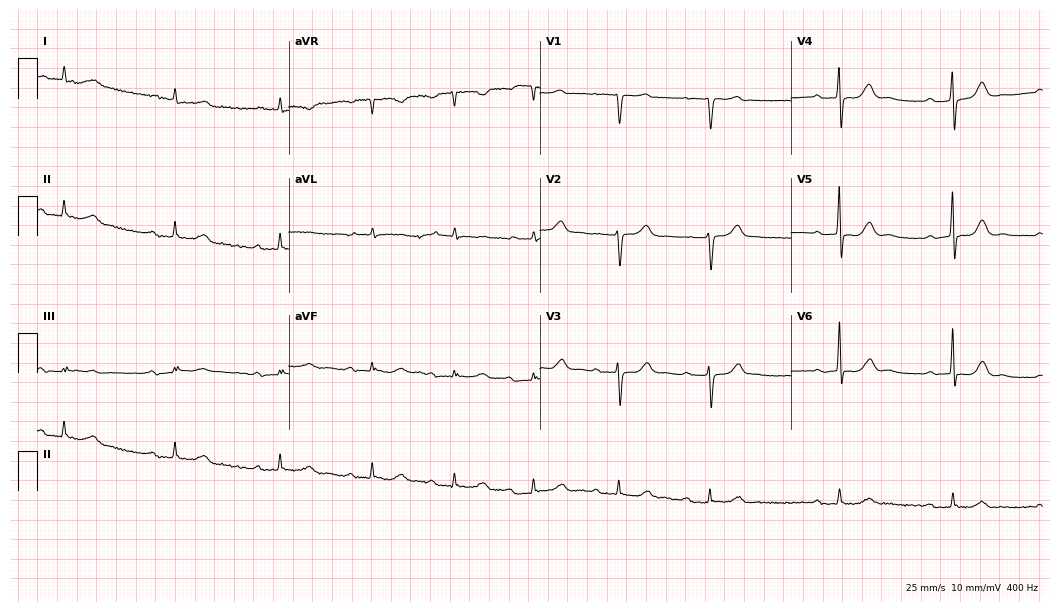
Resting 12-lead electrocardiogram (10.2-second recording at 400 Hz). Patient: an 83-year-old man. None of these six findings is recorded: first-degree AV block, right bundle branch block, left bundle branch block, sinus bradycardia, atrial fibrillation, sinus tachycardia. Findings outside these six are not listed.